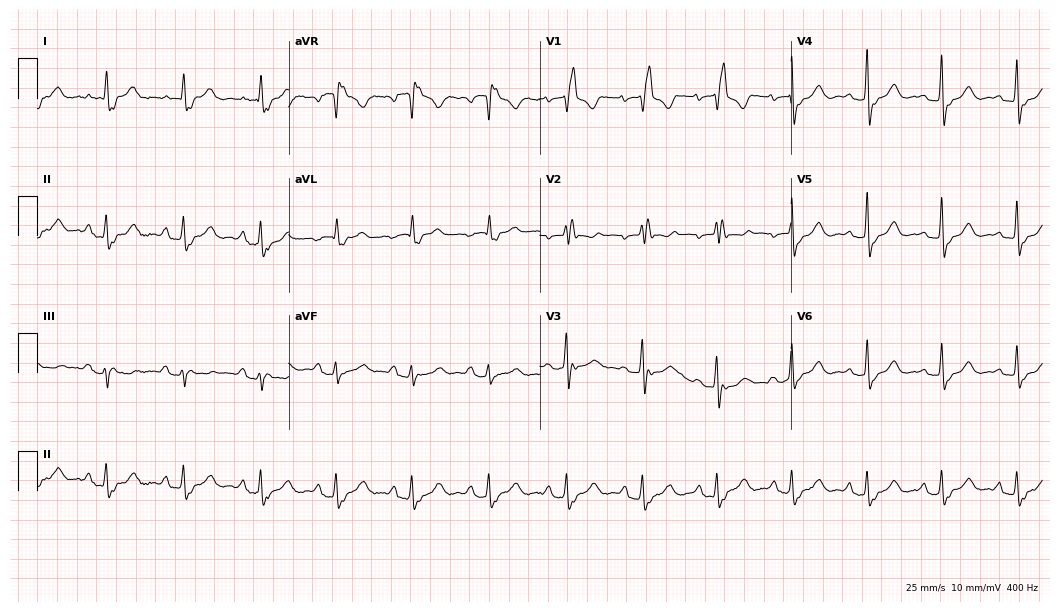
12-lead ECG (10.2-second recording at 400 Hz) from a female, 76 years old. Findings include right bundle branch block.